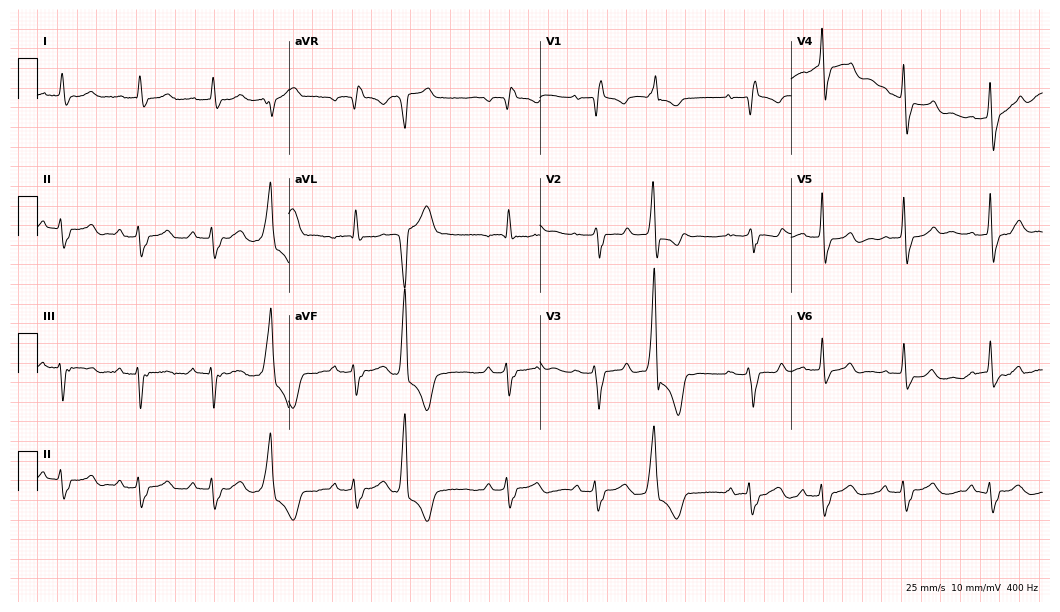
ECG (10.2-second recording at 400 Hz) — a 72-year-old female patient. Findings include right bundle branch block, left bundle branch block.